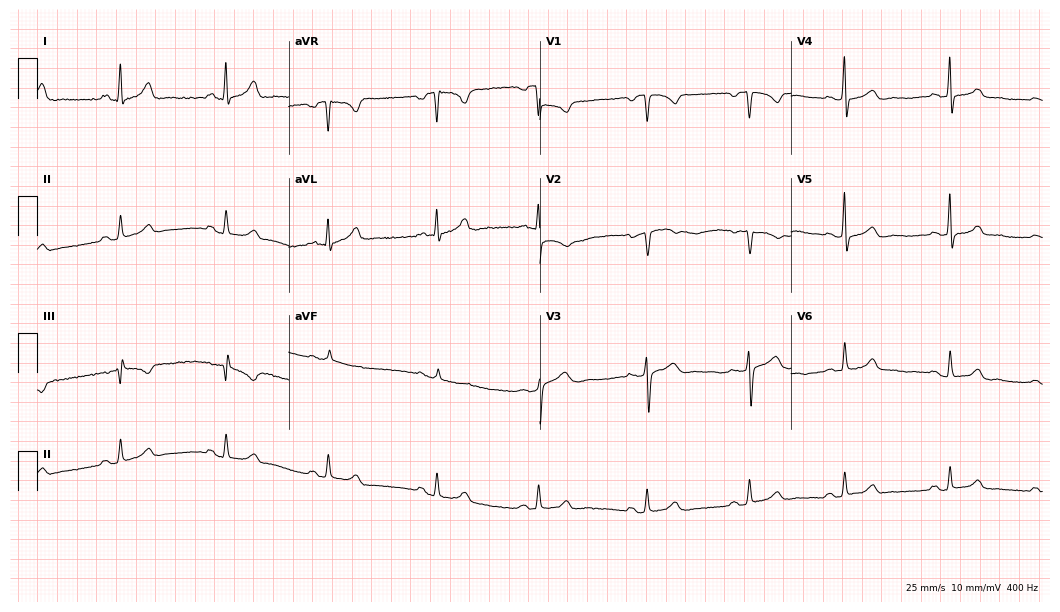
12-lead ECG (10.2-second recording at 400 Hz) from a 46-year-old female patient. Labelled as a normal ECG.